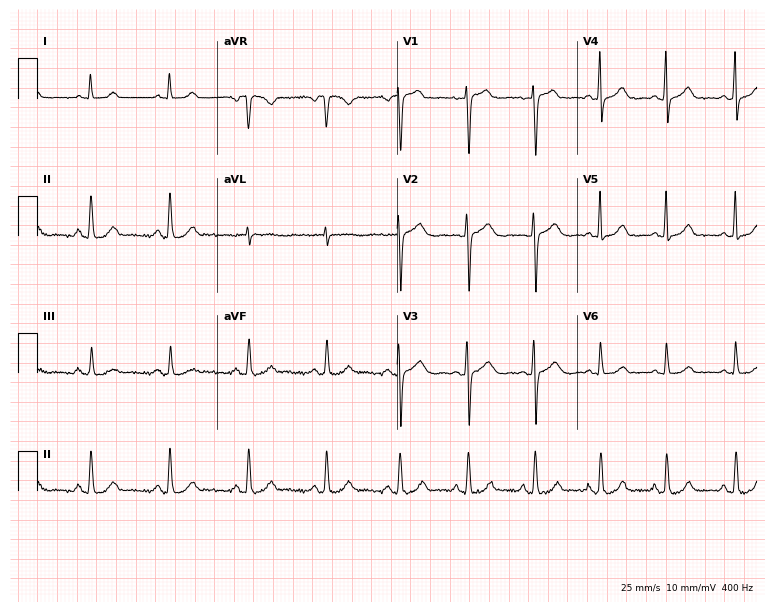
Standard 12-lead ECG recorded from a 26-year-old woman (7.3-second recording at 400 Hz). Read as a normal ECG.